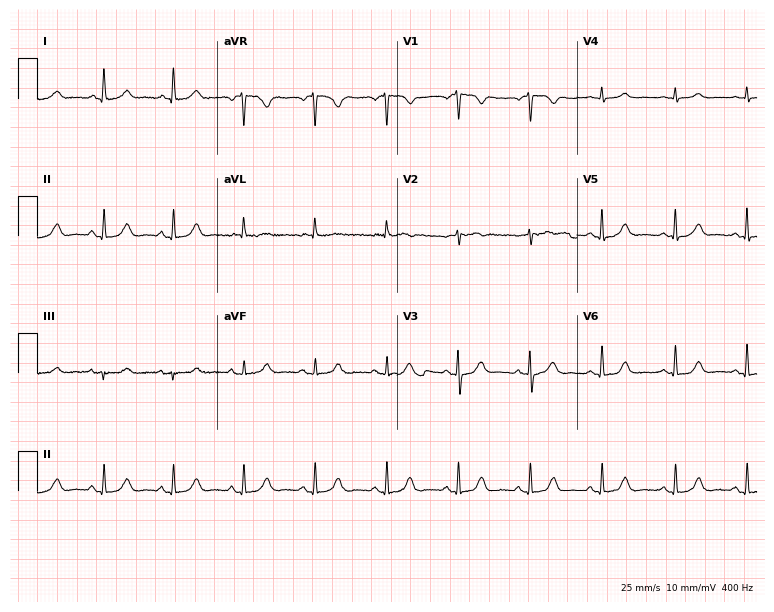
Resting 12-lead electrocardiogram. Patient: a 64-year-old female. Read as a normal ECG.